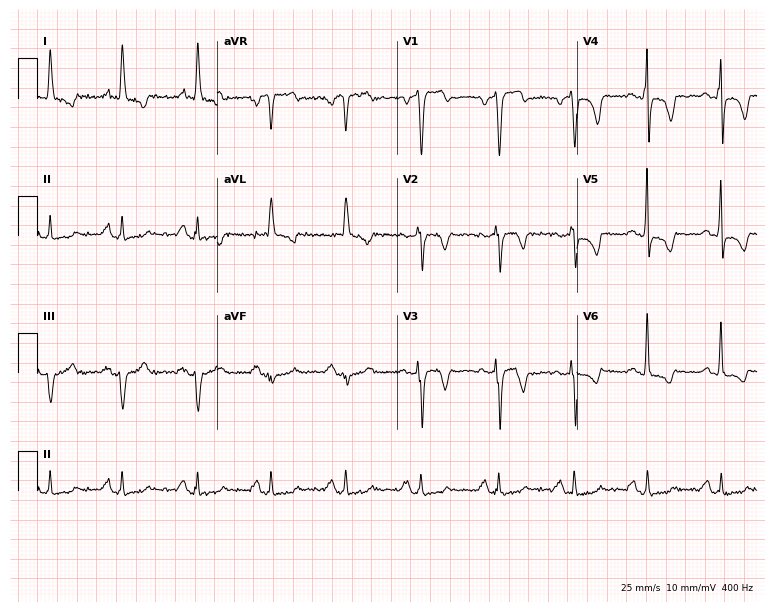
12-lead ECG from a 48-year-old woman (7.3-second recording at 400 Hz). No first-degree AV block, right bundle branch block (RBBB), left bundle branch block (LBBB), sinus bradycardia, atrial fibrillation (AF) or sinus tachycardia recorded for this tracing.